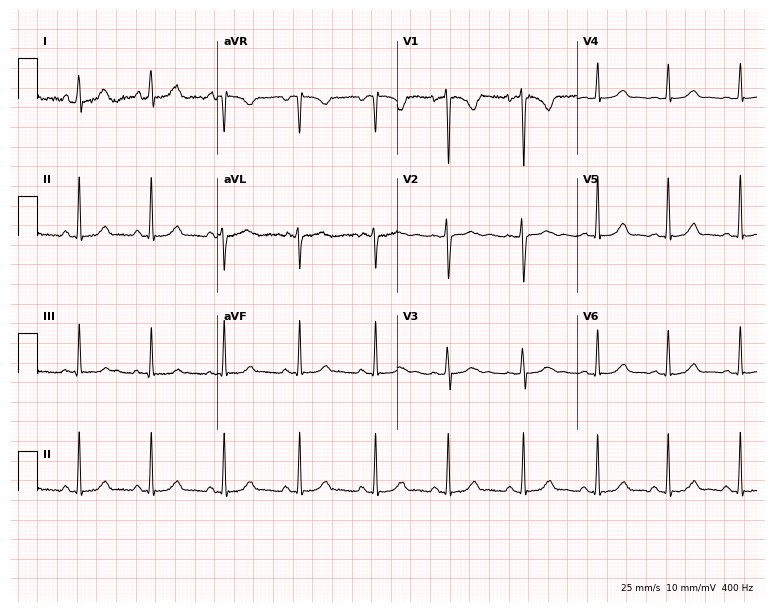
12-lead ECG from a female patient, 17 years old. Screened for six findings — first-degree AV block, right bundle branch block, left bundle branch block, sinus bradycardia, atrial fibrillation, sinus tachycardia — none is recorded.